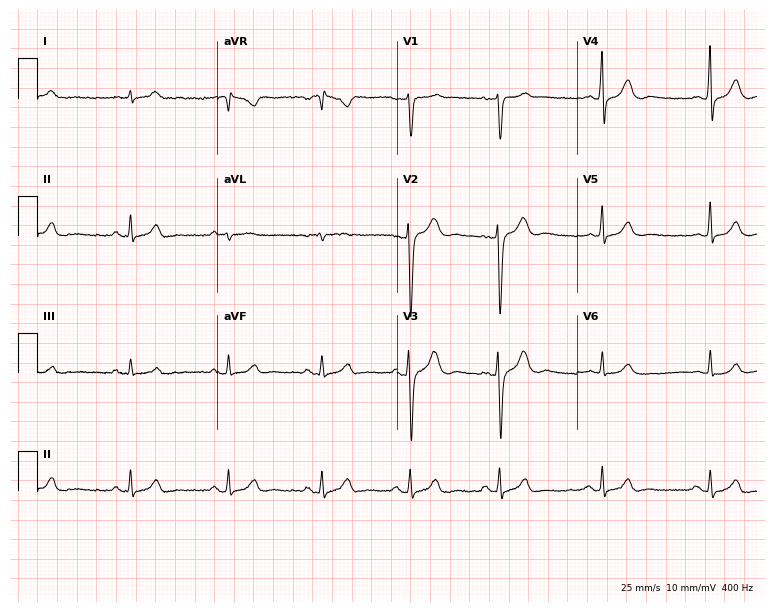
12-lead ECG from a man, 52 years old (7.3-second recording at 400 Hz). Recorded interpretation: within normal limits.